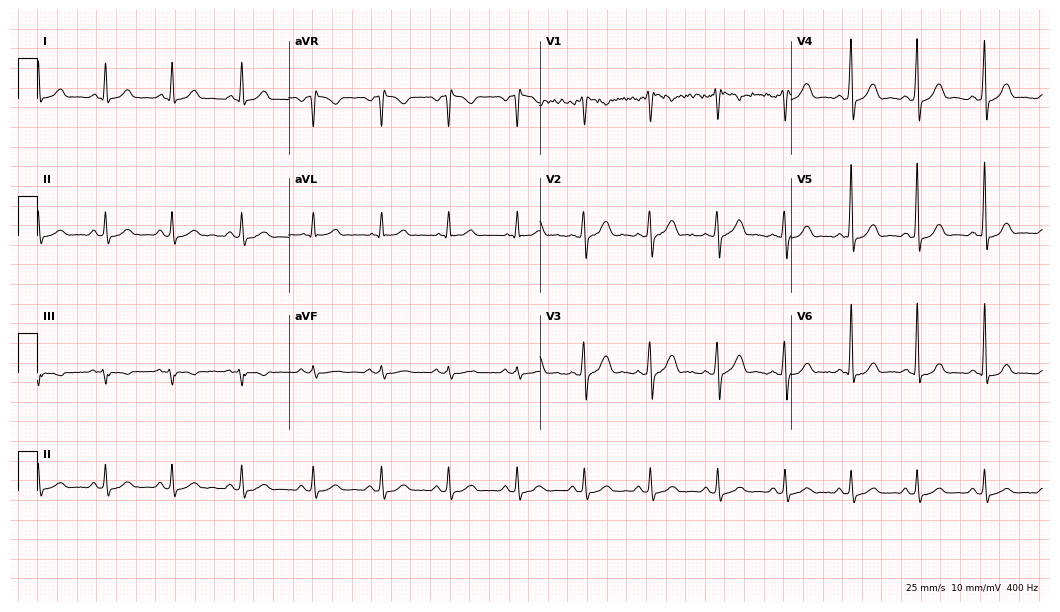
Resting 12-lead electrocardiogram. Patient: a 37-year-old man. Read as a normal ECG.